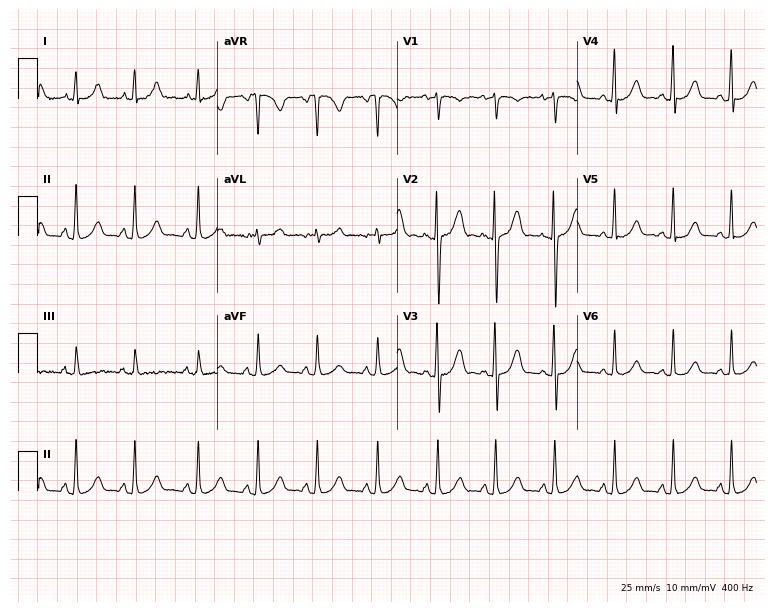
12-lead ECG from a female, 19 years old (7.3-second recording at 400 Hz). Recorded interpretation: within normal limits.